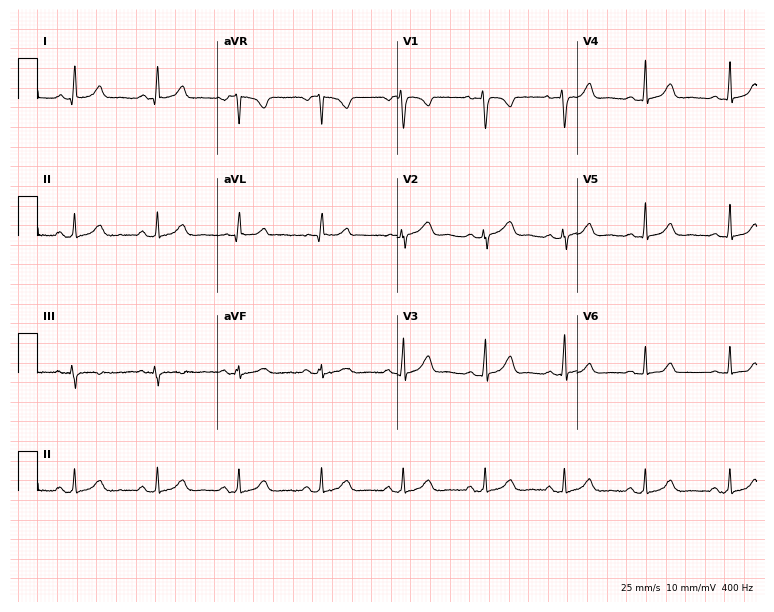
ECG (7.3-second recording at 400 Hz) — a 19-year-old female patient. Screened for six findings — first-degree AV block, right bundle branch block (RBBB), left bundle branch block (LBBB), sinus bradycardia, atrial fibrillation (AF), sinus tachycardia — none is recorded.